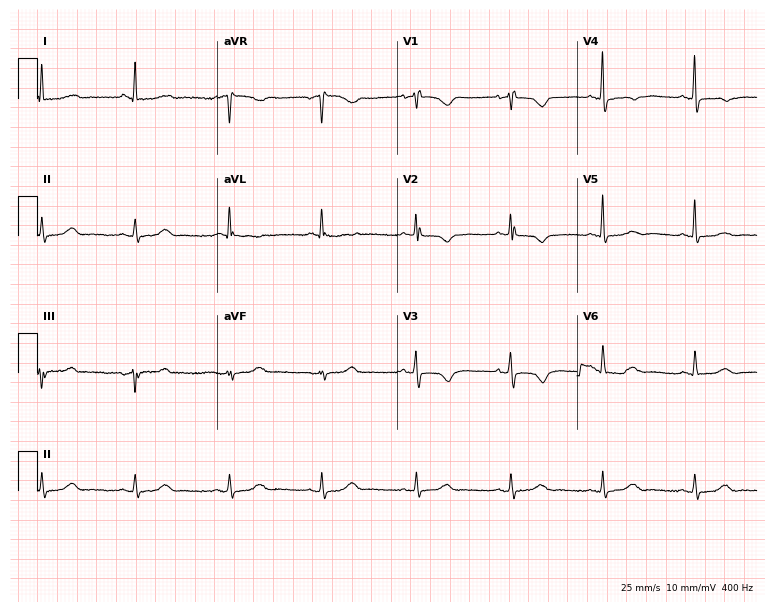
12-lead ECG (7.3-second recording at 400 Hz) from an 82-year-old woman. Screened for six findings — first-degree AV block, right bundle branch block (RBBB), left bundle branch block (LBBB), sinus bradycardia, atrial fibrillation (AF), sinus tachycardia — none is recorded.